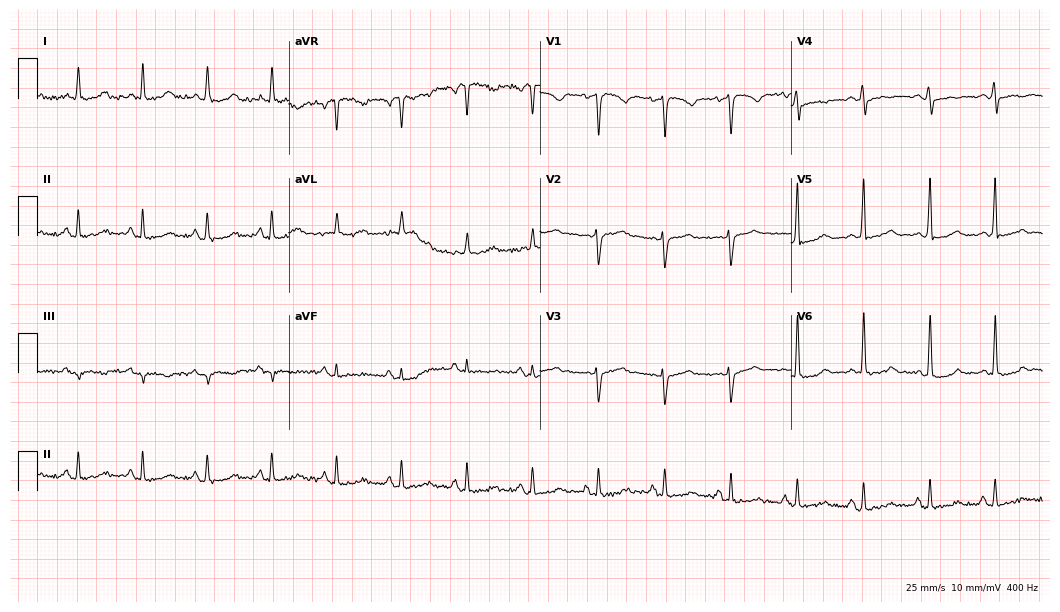
ECG — a 74-year-old woman. Labelled as a normal ECG.